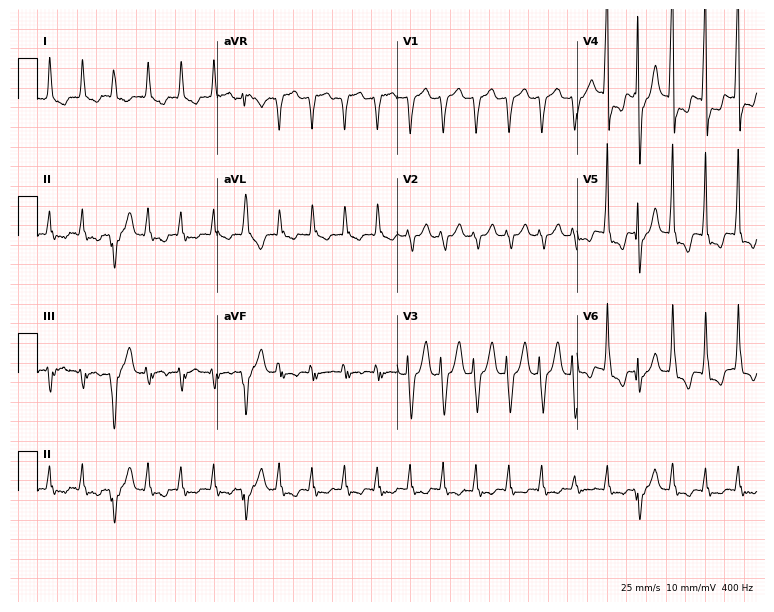
12-lead ECG from a man, 85 years old (7.3-second recording at 400 Hz). No first-degree AV block, right bundle branch block, left bundle branch block, sinus bradycardia, atrial fibrillation or sinus tachycardia recorded for this tracing.